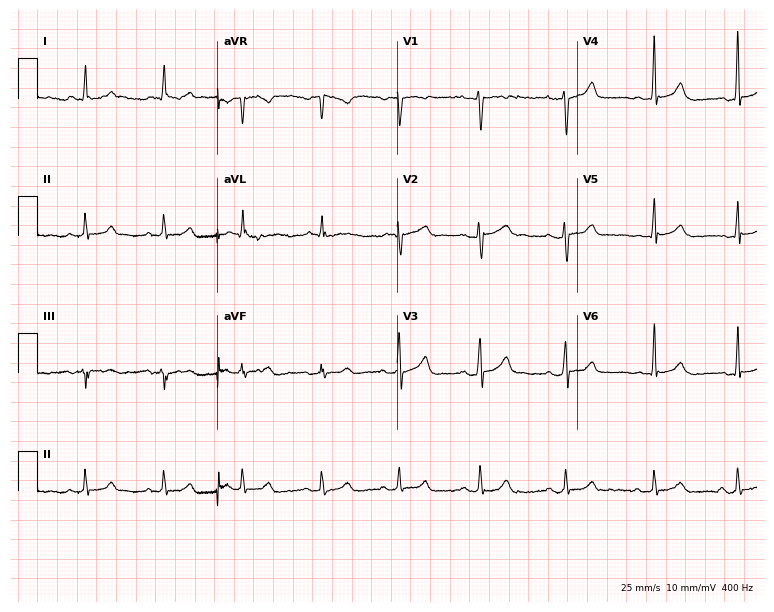
Electrocardiogram, a 31-year-old female. Of the six screened findings (first-degree AV block, right bundle branch block (RBBB), left bundle branch block (LBBB), sinus bradycardia, atrial fibrillation (AF), sinus tachycardia), none is recorded.